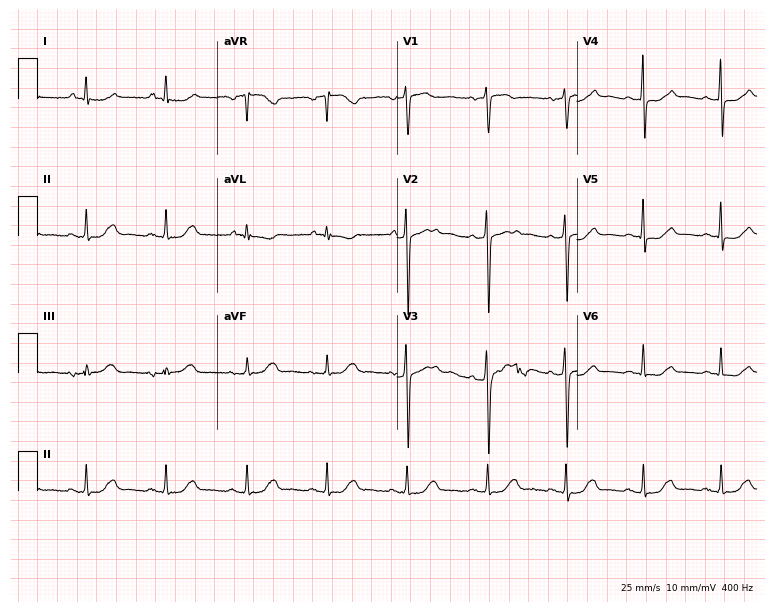
ECG — a female, 57 years old. Labelled as a normal ECG.